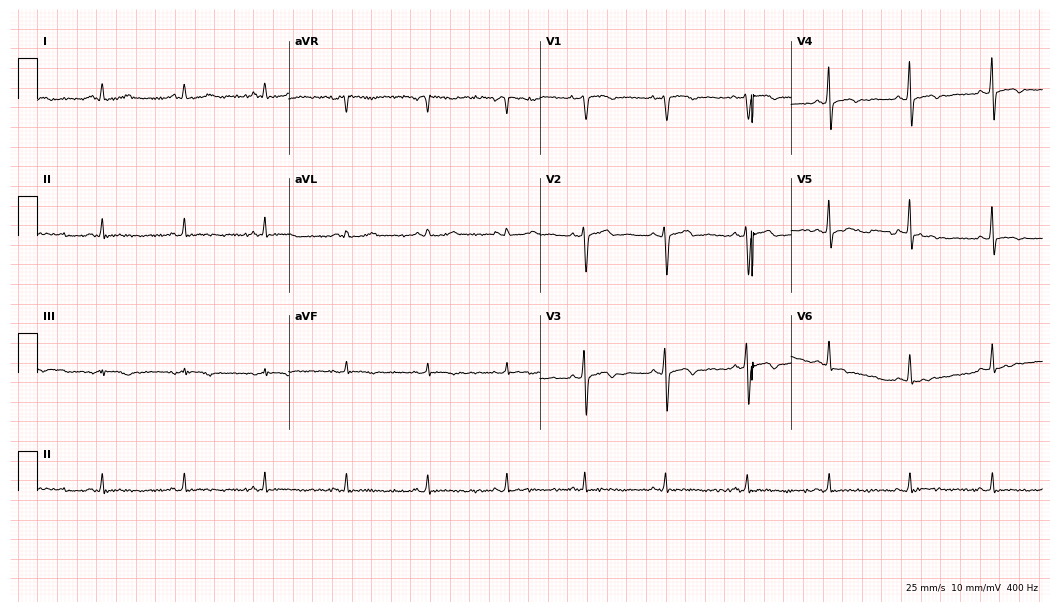
ECG (10.2-second recording at 400 Hz) — a female, 40 years old. Screened for six findings — first-degree AV block, right bundle branch block (RBBB), left bundle branch block (LBBB), sinus bradycardia, atrial fibrillation (AF), sinus tachycardia — none is recorded.